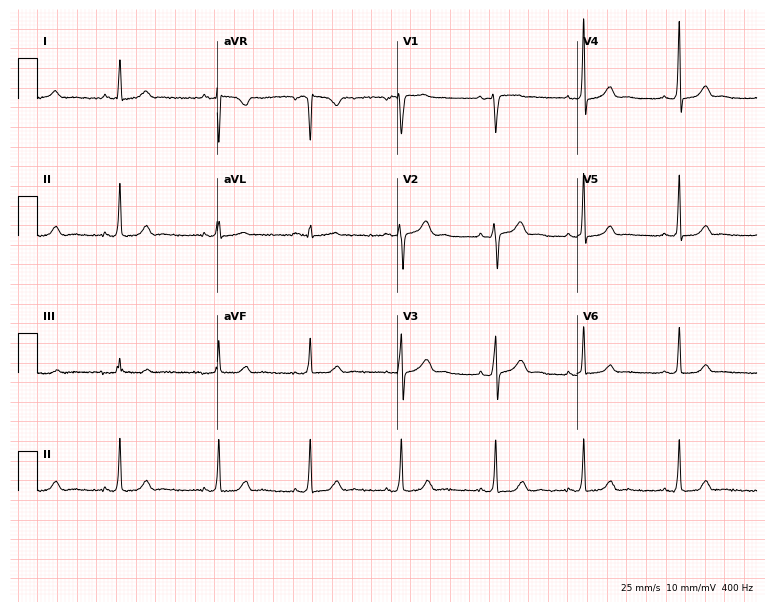
Electrocardiogram (7.3-second recording at 400 Hz), a 46-year-old female patient. Overall reading on record: normal ECG.